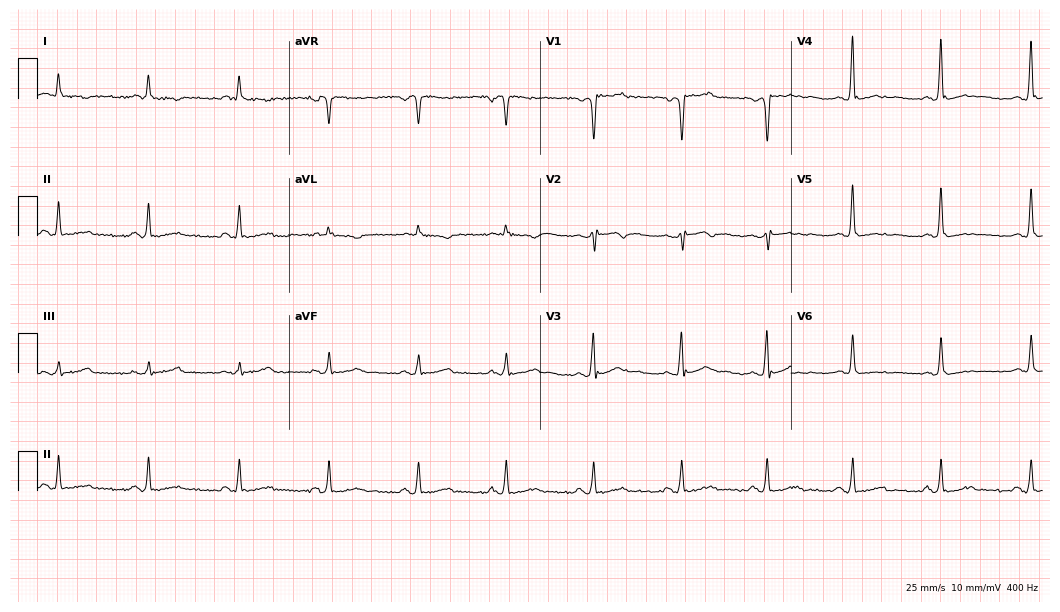
ECG — a man, 49 years old. Labelled as a normal ECG.